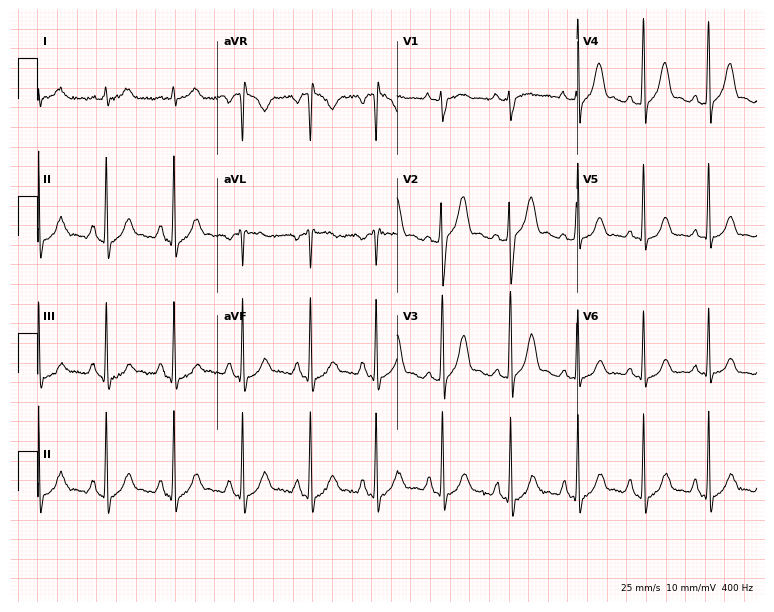
12-lead ECG from a male patient, 30 years old. Recorded interpretation: within normal limits.